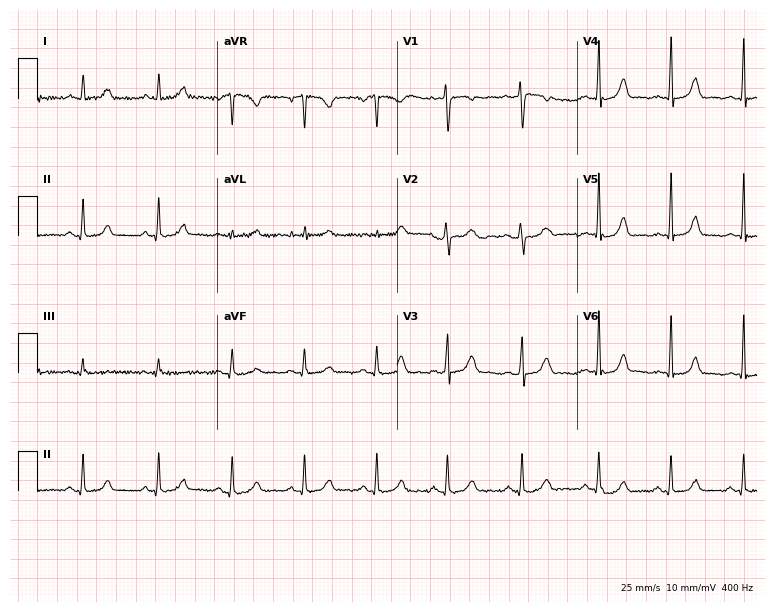
Resting 12-lead electrocardiogram. Patient: a 28-year-old woman. Read as a normal ECG.